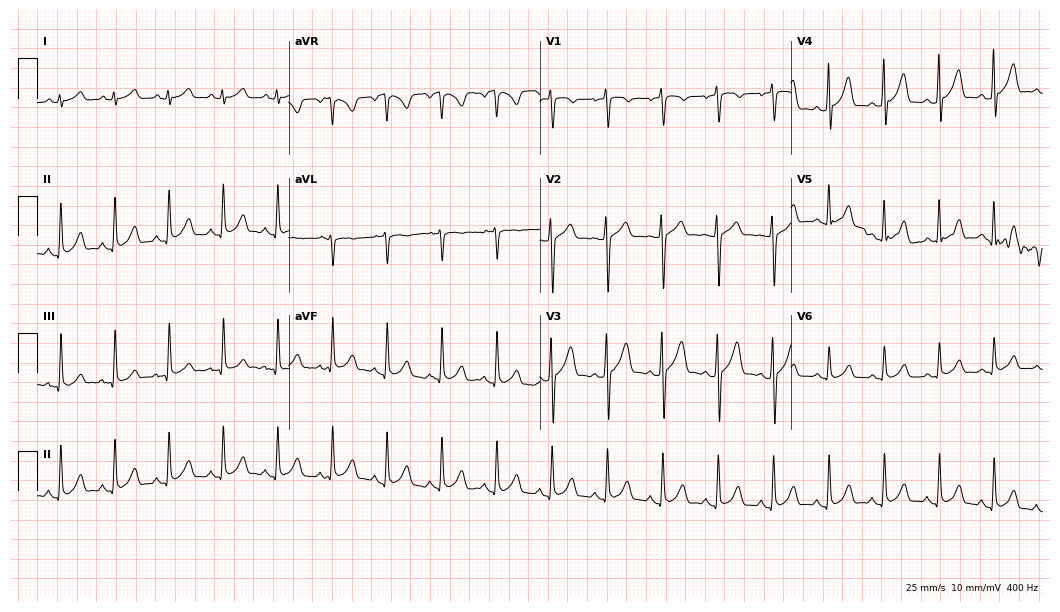
12-lead ECG from a 38-year-old man. Screened for six findings — first-degree AV block, right bundle branch block, left bundle branch block, sinus bradycardia, atrial fibrillation, sinus tachycardia — none is recorded.